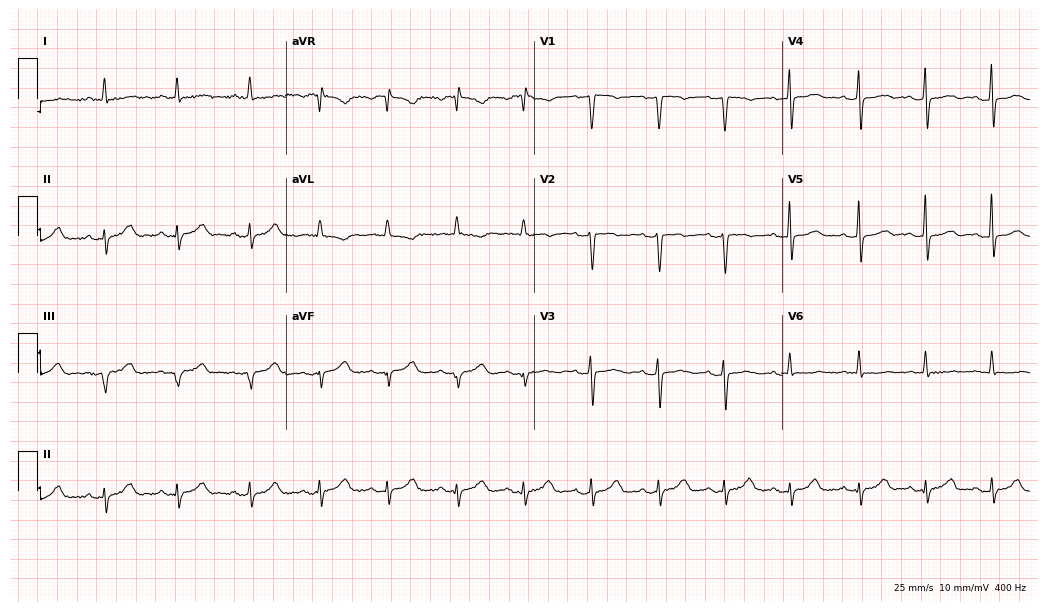
12-lead ECG from a 73-year-old female patient (10.1-second recording at 400 Hz). Recorded interpretation: within normal limits.